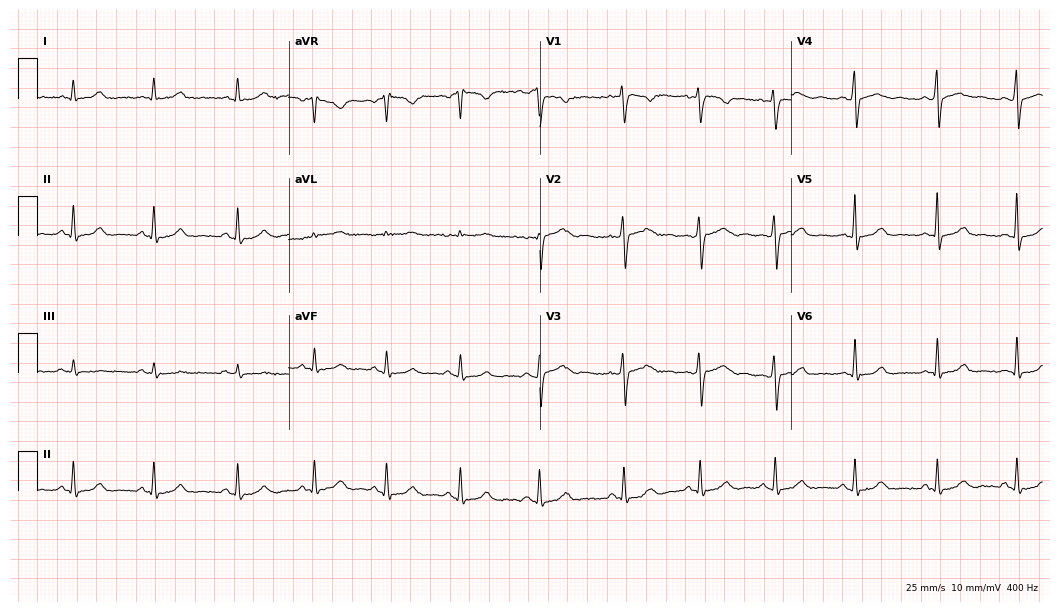
Electrocardiogram (10.2-second recording at 400 Hz), a woman, 25 years old. Overall reading on record: normal ECG.